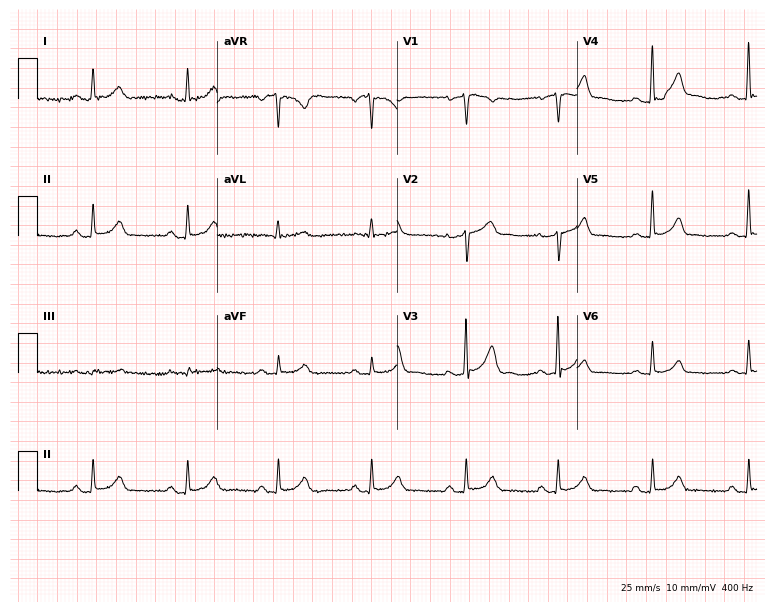
ECG (7.3-second recording at 400 Hz) — a 48-year-old male patient. Labelled as a normal ECG.